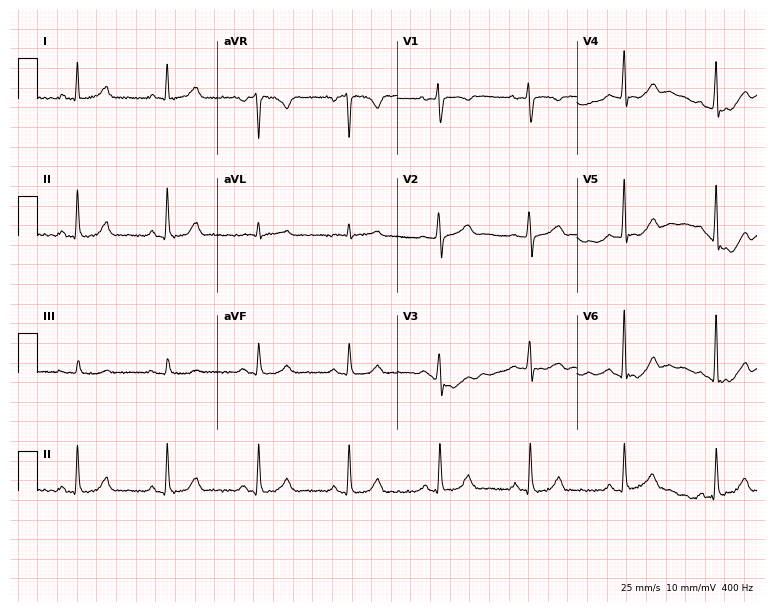
ECG (7.3-second recording at 400 Hz) — a 43-year-old female. Screened for six findings — first-degree AV block, right bundle branch block, left bundle branch block, sinus bradycardia, atrial fibrillation, sinus tachycardia — none is recorded. Findings outside these six are not listed.